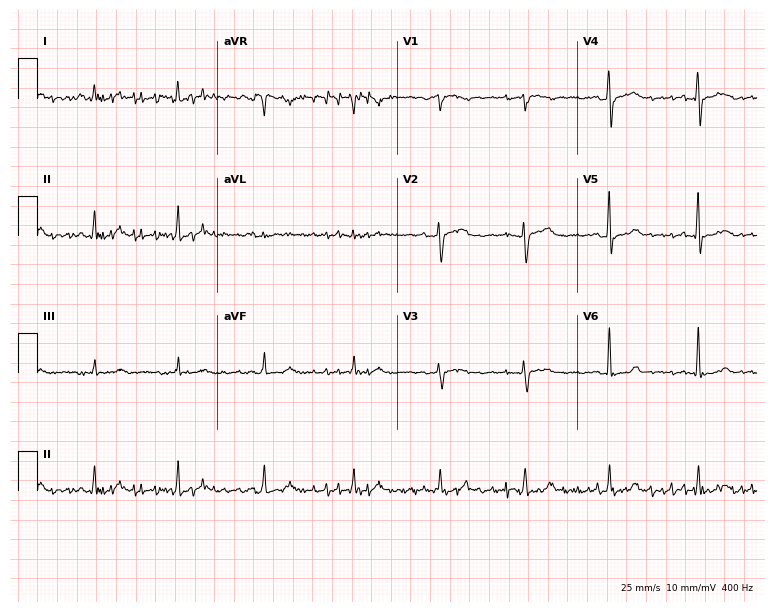
ECG — a 45-year-old female. Screened for six findings — first-degree AV block, right bundle branch block, left bundle branch block, sinus bradycardia, atrial fibrillation, sinus tachycardia — none is recorded.